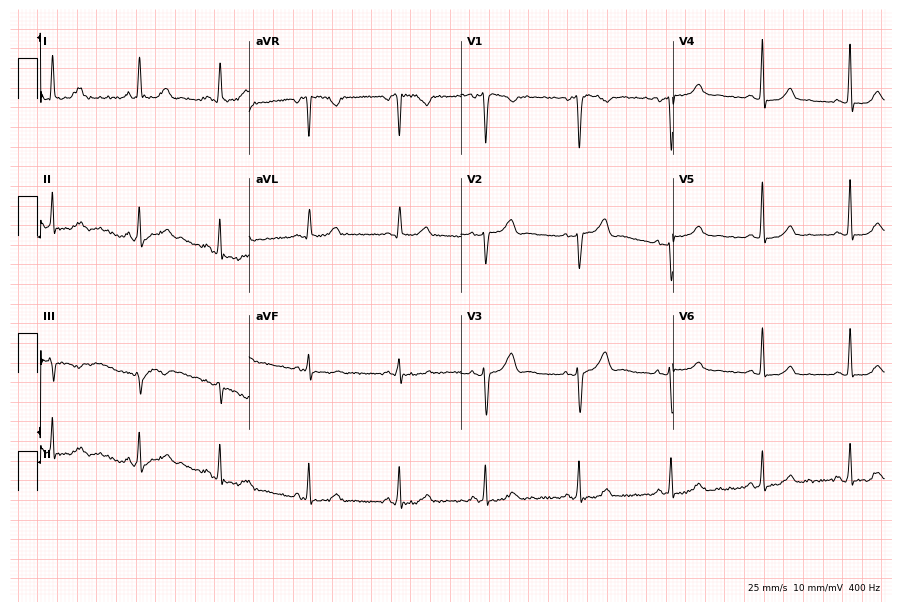
12-lead ECG (8.6-second recording at 400 Hz) from a 42-year-old woman. Screened for six findings — first-degree AV block, right bundle branch block, left bundle branch block, sinus bradycardia, atrial fibrillation, sinus tachycardia — none is recorded.